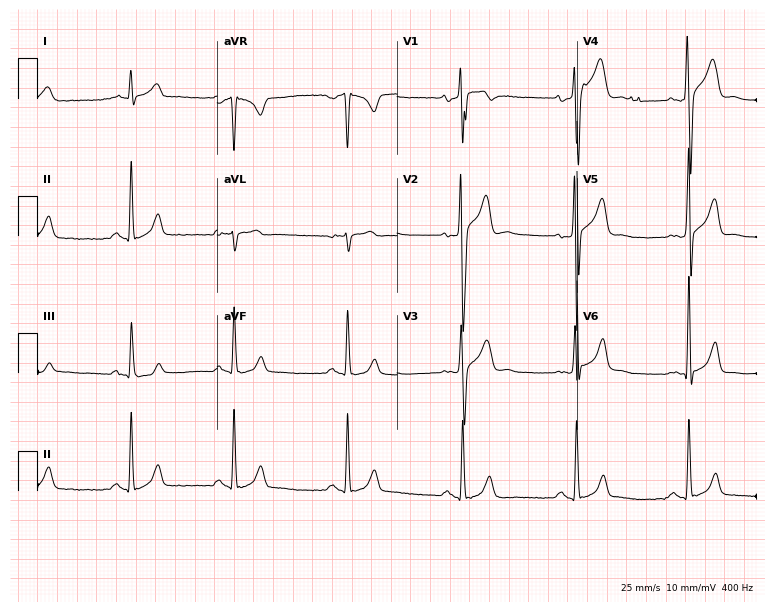
ECG — a male, 29 years old. Screened for six findings — first-degree AV block, right bundle branch block, left bundle branch block, sinus bradycardia, atrial fibrillation, sinus tachycardia — none is recorded.